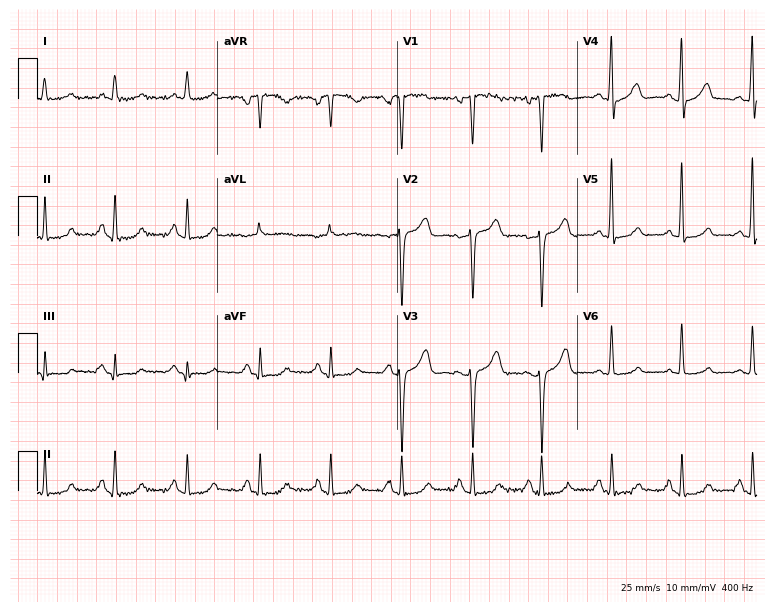
ECG (7.3-second recording at 400 Hz) — a 48-year-old woman. Screened for six findings — first-degree AV block, right bundle branch block, left bundle branch block, sinus bradycardia, atrial fibrillation, sinus tachycardia — none is recorded.